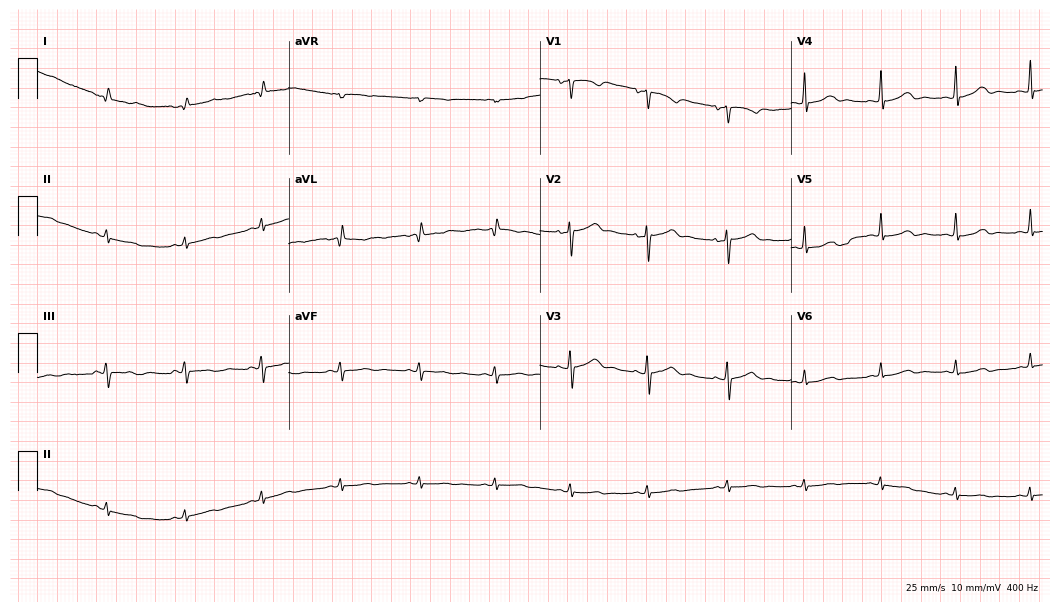
12-lead ECG (10.2-second recording at 400 Hz) from a female, 42 years old. Screened for six findings — first-degree AV block, right bundle branch block, left bundle branch block, sinus bradycardia, atrial fibrillation, sinus tachycardia — none is recorded. Only these six findings were labelled.